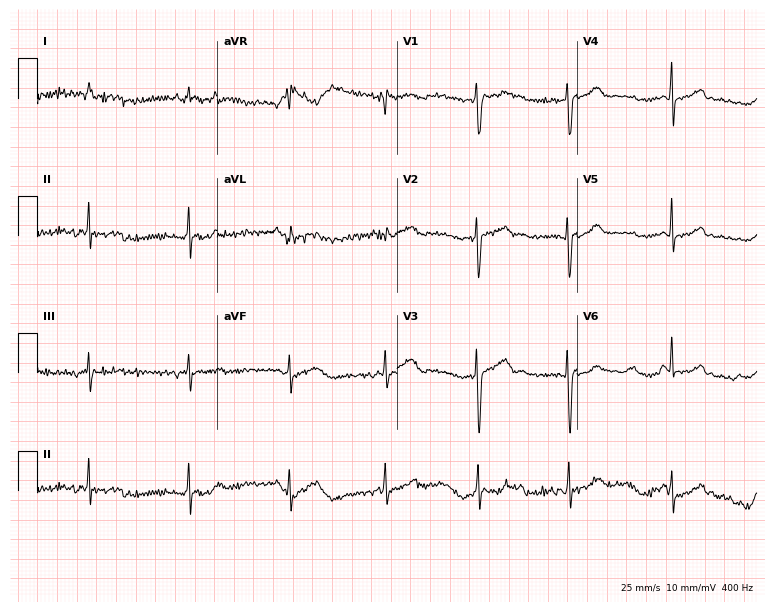
12-lead ECG from a woman, 19 years old. Labelled as a normal ECG.